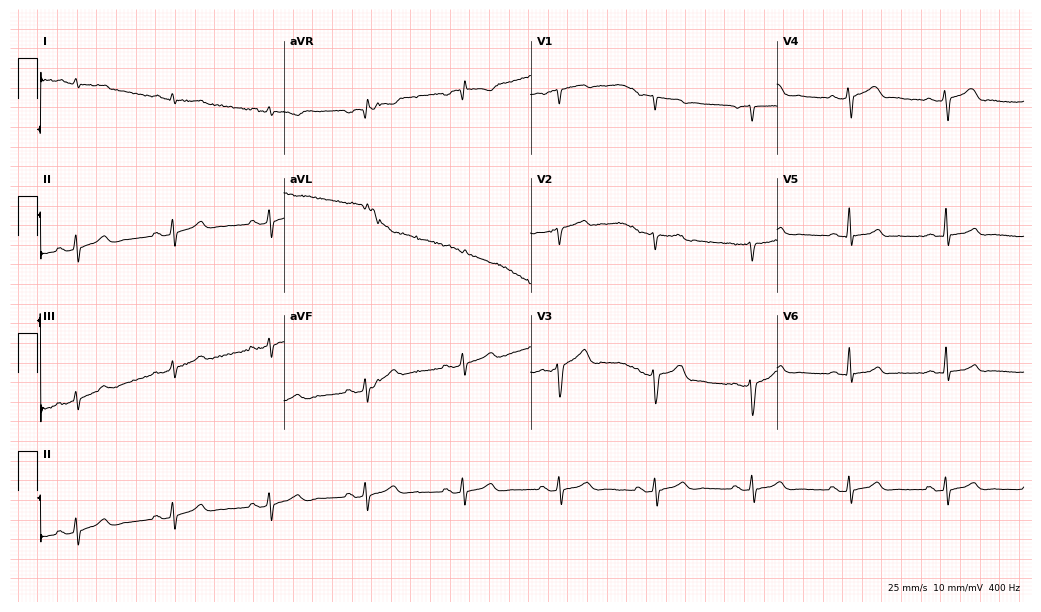
Electrocardiogram (10.1-second recording at 400 Hz), a 71-year-old man. Of the six screened findings (first-degree AV block, right bundle branch block (RBBB), left bundle branch block (LBBB), sinus bradycardia, atrial fibrillation (AF), sinus tachycardia), none is recorded.